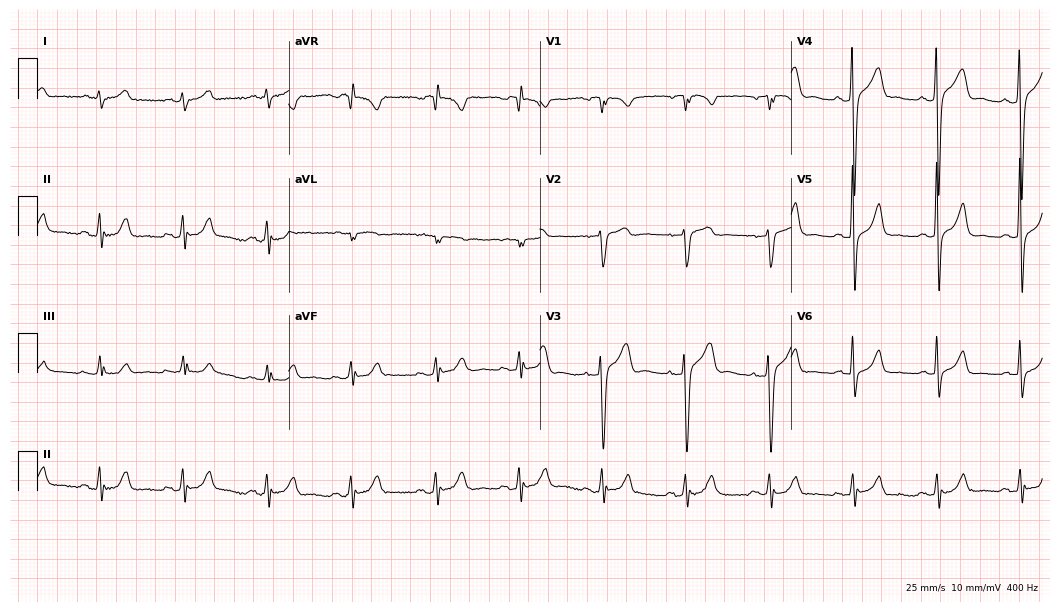
Electrocardiogram (10.2-second recording at 400 Hz), a 65-year-old male patient. Overall reading on record: normal ECG.